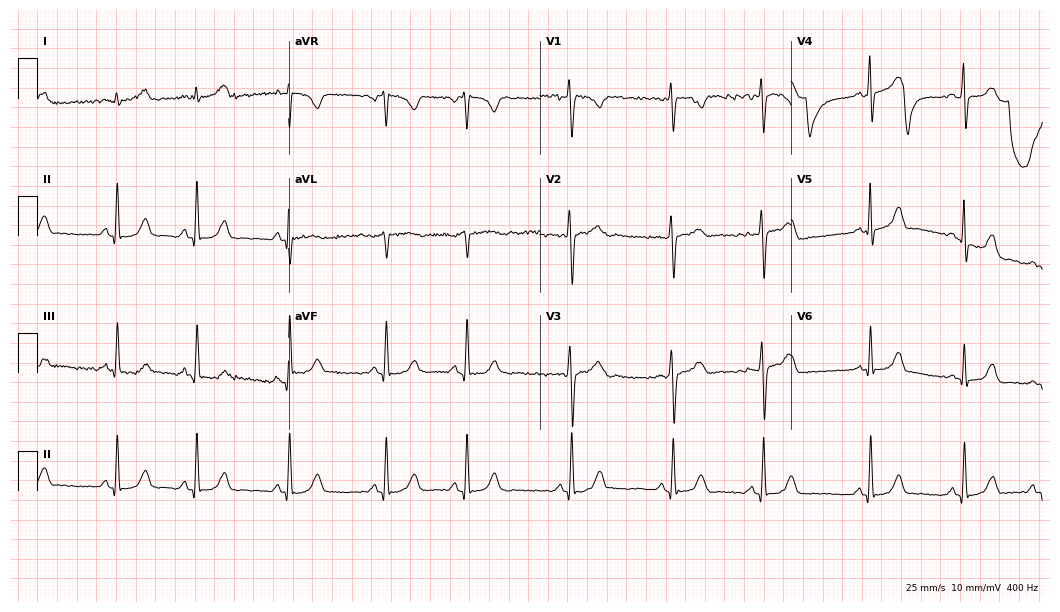
ECG — a 24-year-old female. Screened for six findings — first-degree AV block, right bundle branch block, left bundle branch block, sinus bradycardia, atrial fibrillation, sinus tachycardia — none is recorded.